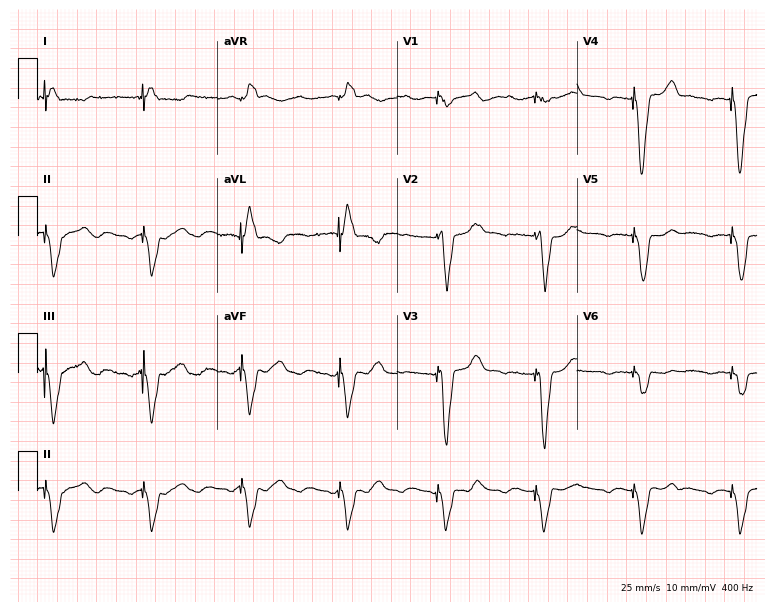
Standard 12-lead ECG recorded from a male patient, 85 years old (7.3-second recording at 400 Hz). None of these six findings is recorded: first-degree AV block, right bundle branch block (RBBB), left bundle branch block (LBBB), sinus bradycardia, atrial fibrillation (AF), sinus tachycardia.